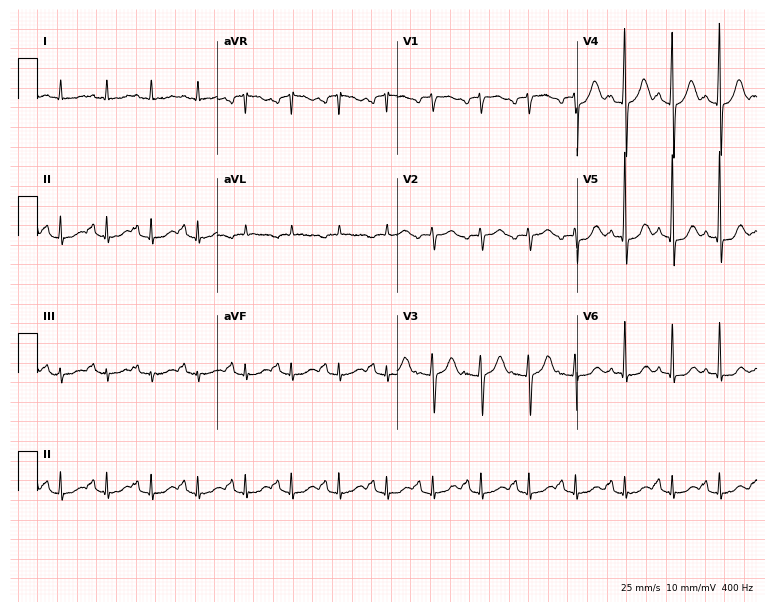
ECG — a 78-year-old male patient. Findings include sinus tachycardia (a sinus rate of 100 beats per minute or more).